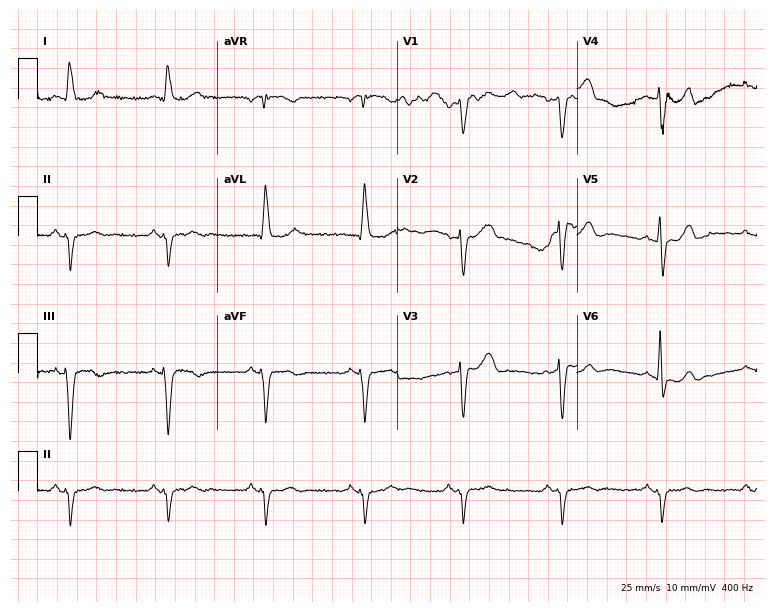
Electrocardiogram (7.3-second recording at 400 Hz), a man, 79 years old. Of the six screened findings (first-degree AV block, right bundle branch block, left bundle branch block, sinus bradycardia, atrial fibrillation, sinus tachycardia), none is recorded.